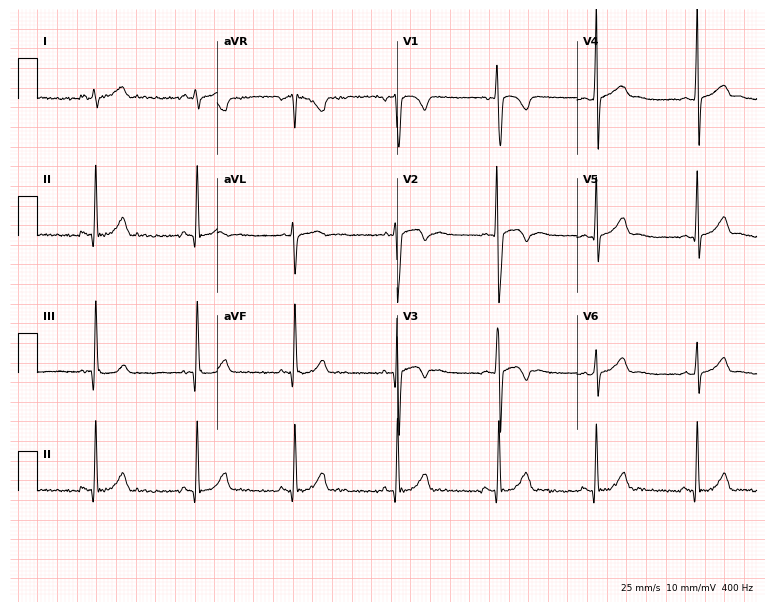
12-lead ECG (7.3-second recording at 400 Hz) from a man, 17 years old. Screened for six findings — first-degree AV block, right bundle branch block, left bundle branch block, sinus bradycardia, atrial fibrillation, sinus tachycardia — none is recorded.